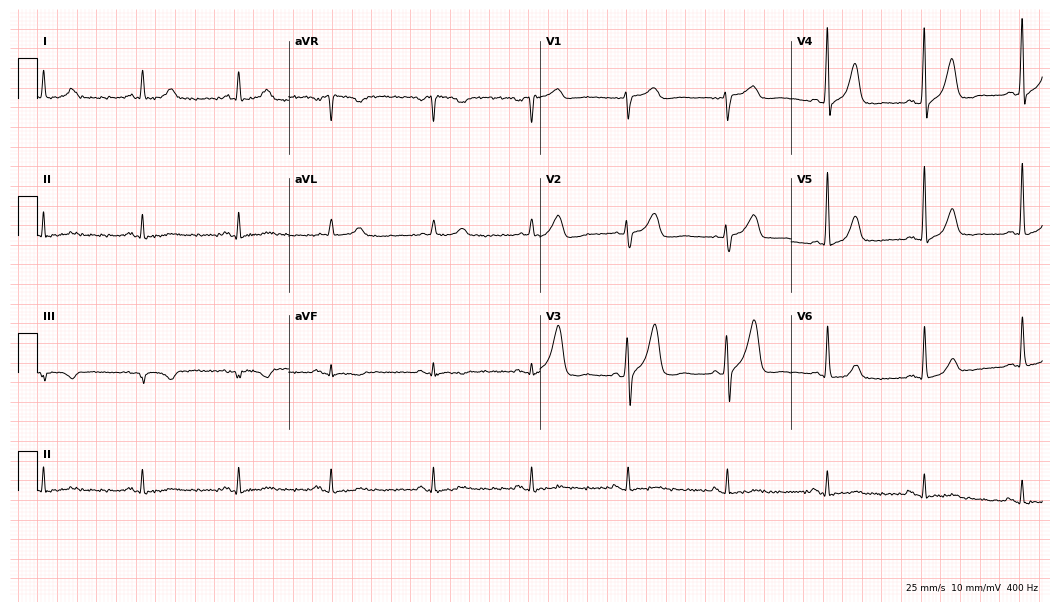
Electrocardiogram, a 77-year-old man. Of the six screened findings (first-degree AV block, right bundle branch block (RBBB), left bundle branch block (LBBB), sinus bradycardia, atrial fibrillation (AF), sinus tachycardia), none is recorded.